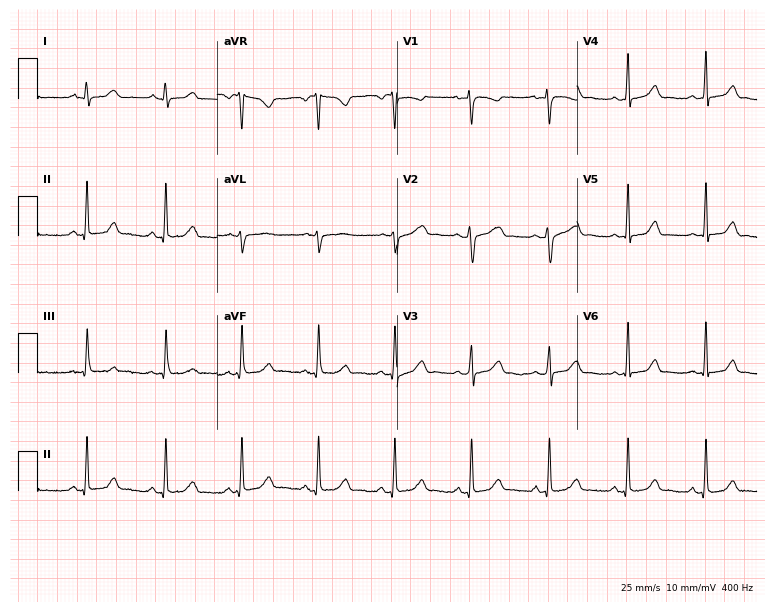
Standard 12-lead ECG recorded from a female, 23 years old (7.3-second recording at 400 Hz). Read as a normal ECG.